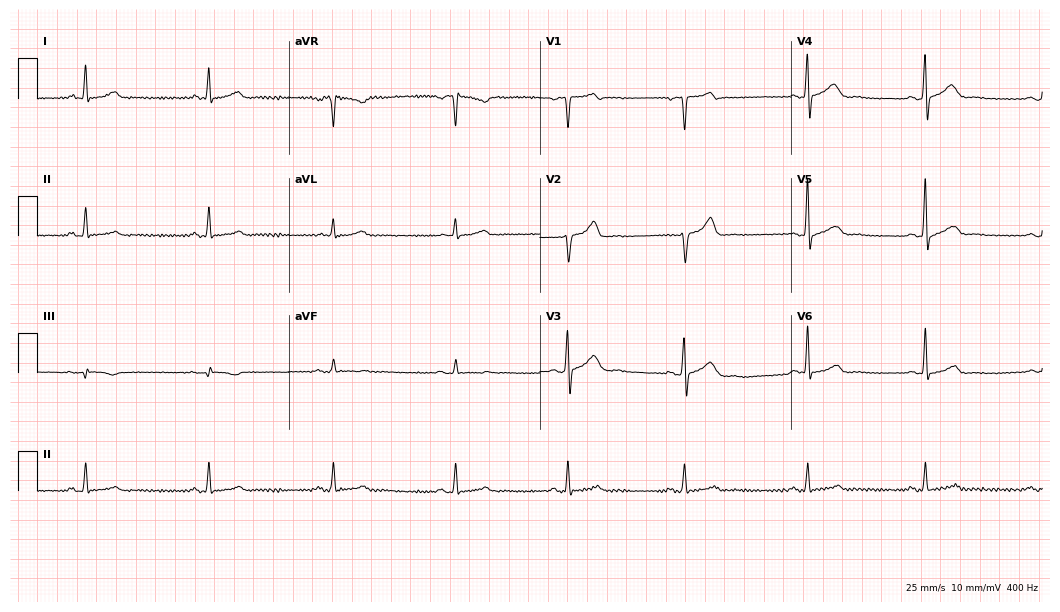
Electrocardiogram, a 40-year-old man. Interpretation includes sinus bradycardia (a sinus rate of 50 beats per minute or less).